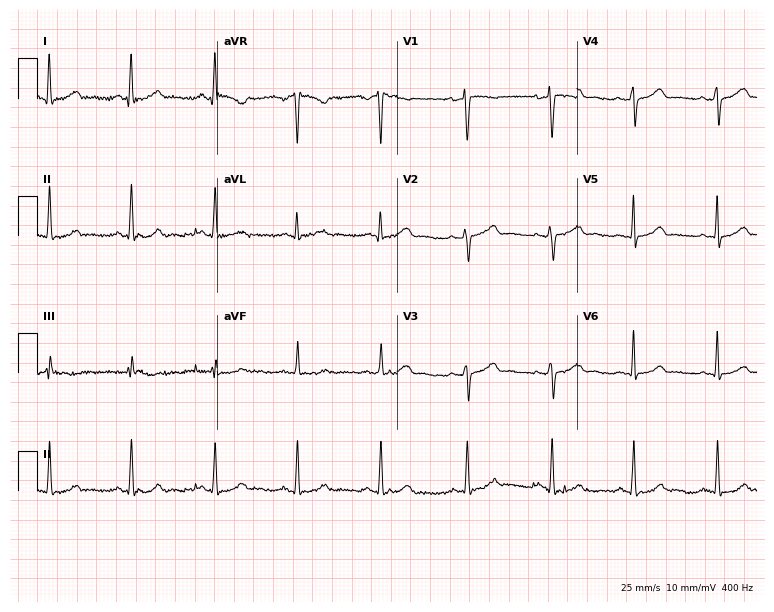
12-lead ECG from a 35-year-old woman. No first-degree AV block, right bundle branch block, left bundle branch block, sinus bradycardia, atrial fibrillation or sinus tachycardia recorded for this tracing.